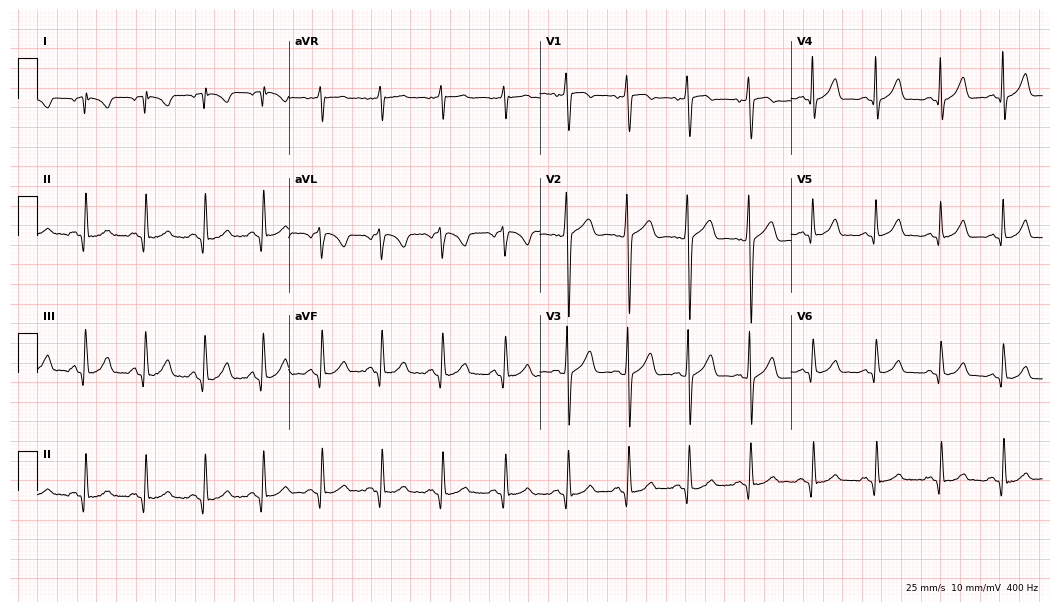
12-lead ECG (10.2-second recording at 400 Hz) from a female, 21 years old. Screened for six findings — first-degree AV block, right bundle branch block, left bundle branch block, sinus bradycardia, atrial fibrillation, sinus tachycardia — none is recorded. Findings outside these six are not listed.